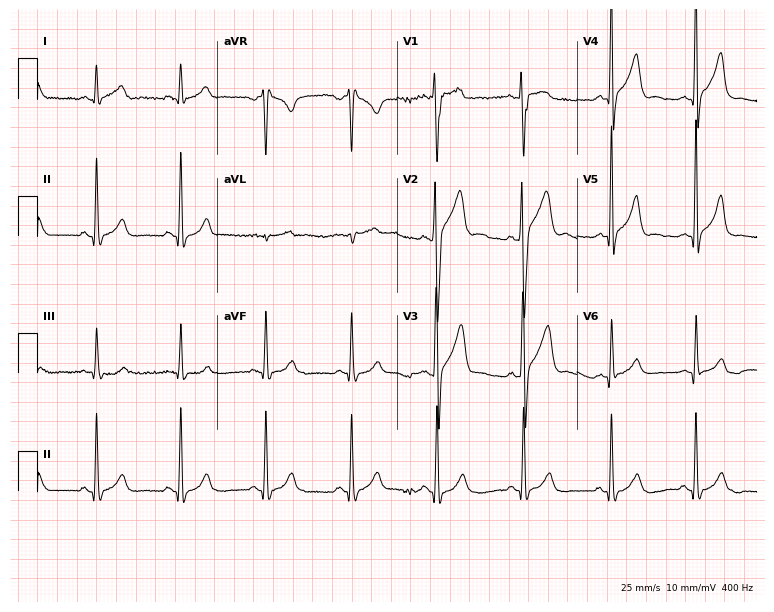
Resting 12-lead electrocardiogram (7.3-second recording at 400 Hz). Patient: a 37-year-old man. None of these six findings is recorded: first-degree AV block, right bundle branch block, left bundle branch block, sinus bradycardia, atrial fibrillation, sinus tachycardia. Other findings, if any, are not listed.